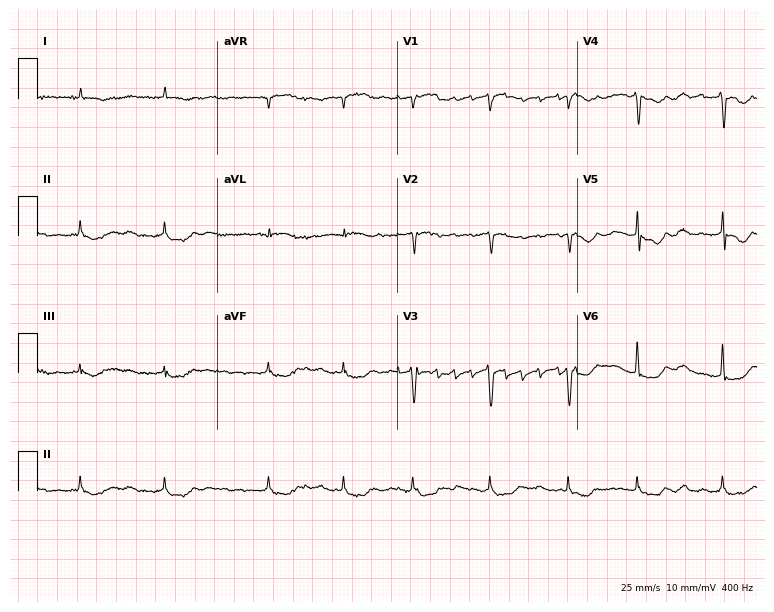
12-lead ECG (7.3-second recording at 400 Hz) from a woman, 80 years old. Findings include atrial fibrillation (AF).